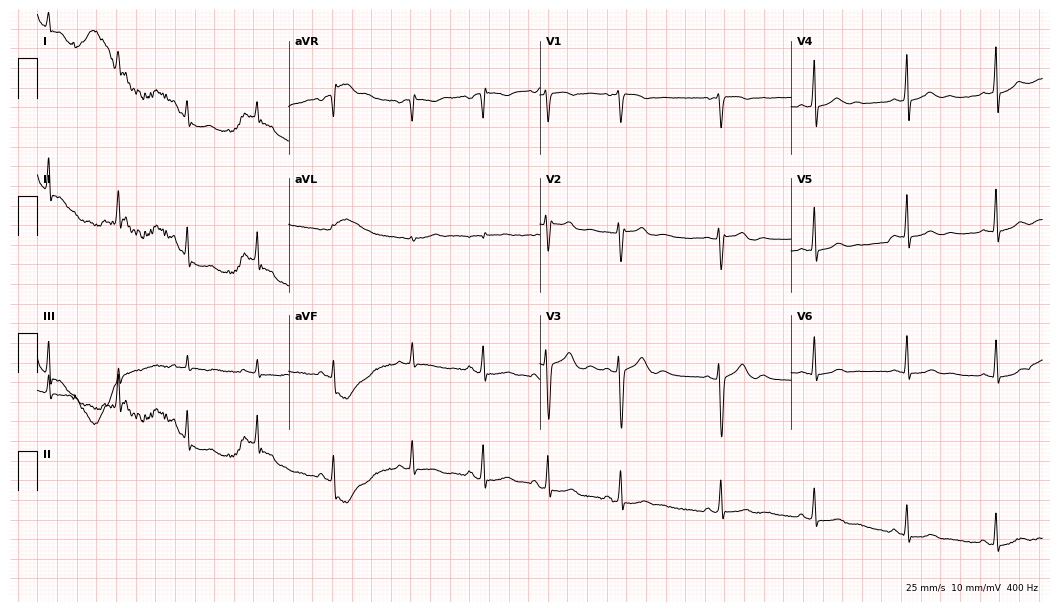
12-lead ECG from an 18-year-old woman. Labelled as a normal ECG.